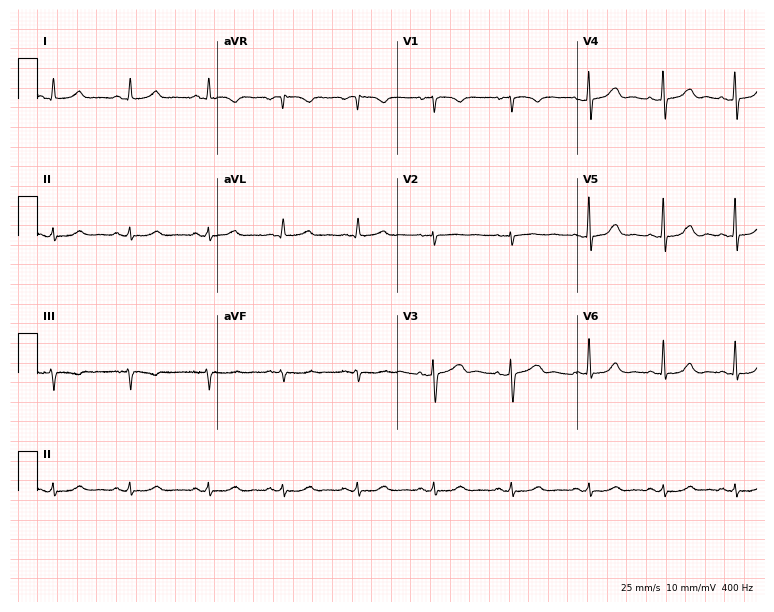
ECG (7.3-second recording at 400 Hz) — a 36-year-old female patient. Labelled as a normal ECG.